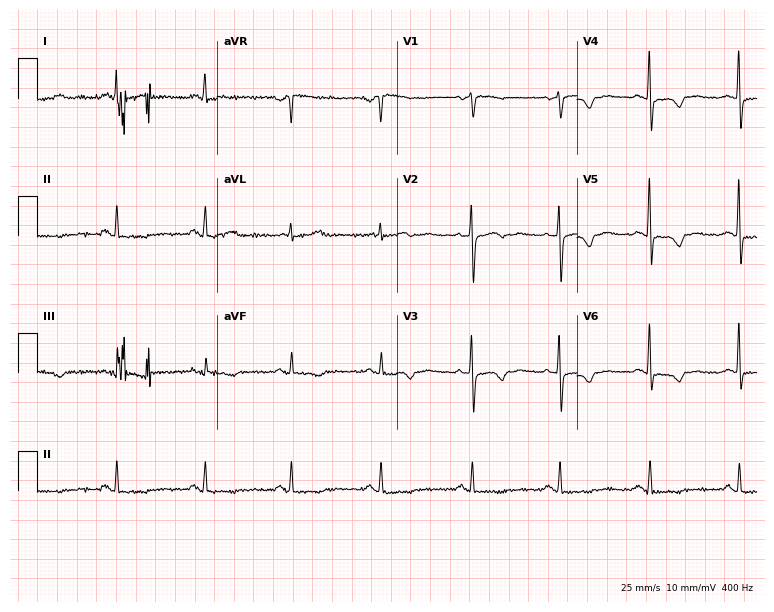
12-lead ECG from a female patient, 63 years old. Screened for six findings — first-degree AV block, right bundle branch block, left bundle branch block, sinus bradycardia, atrial fibrillation, sinus tachycardia — none is recorded.